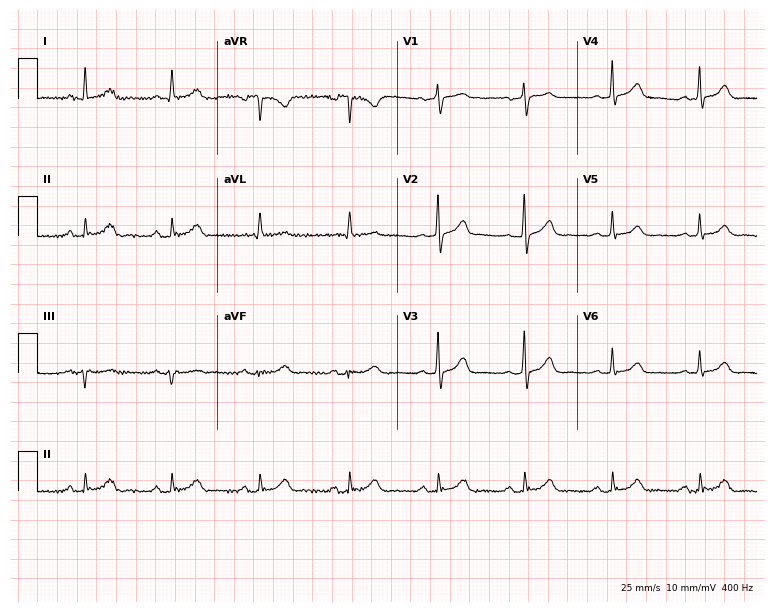
Standard 12-lead ECG recorded from a female, 70 years old. Read as a normal ECG.